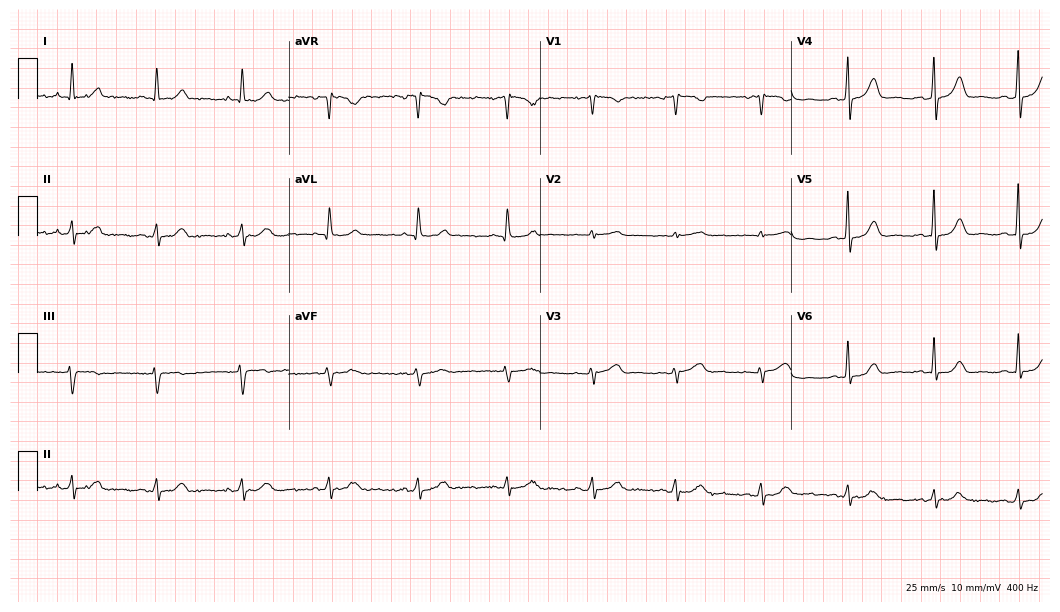
Resting 12-lead electrocardiogram (10.2-second recording at 400 Hz). Patient: a 53-year-old woman. Read as a normal ECG.